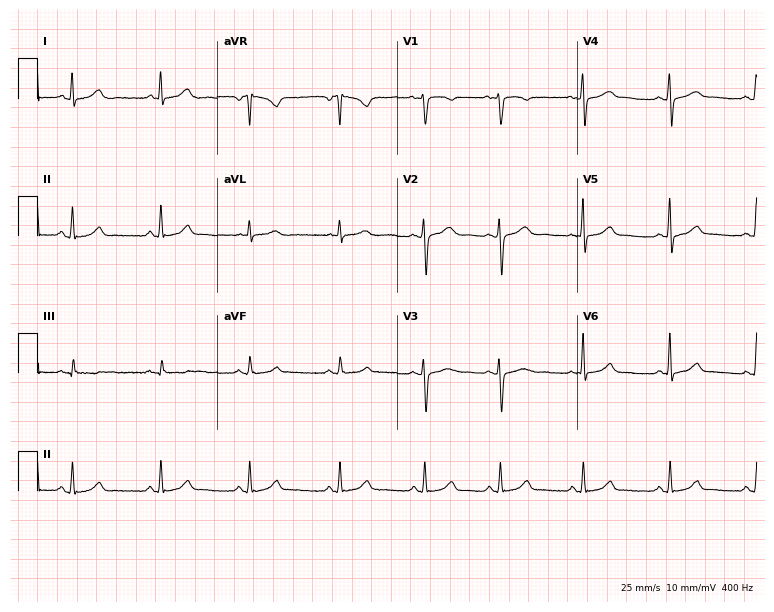
Standard 12-lead ECG recorded from a 40-year-old female patient. Read as a normal ECG.